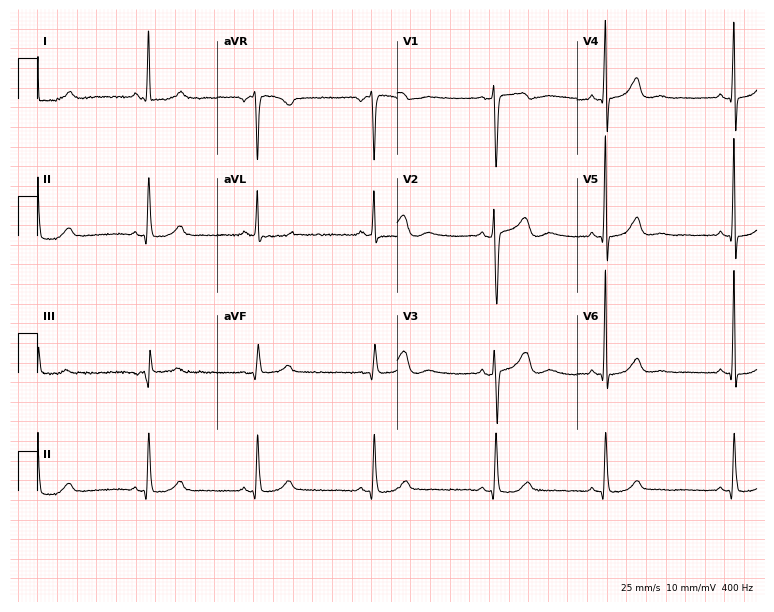
Resting 12-lead electrocardiogram (7.3-second recording at 400 Hz). Patient: a 39-year-old female. Read as a normal ECG.